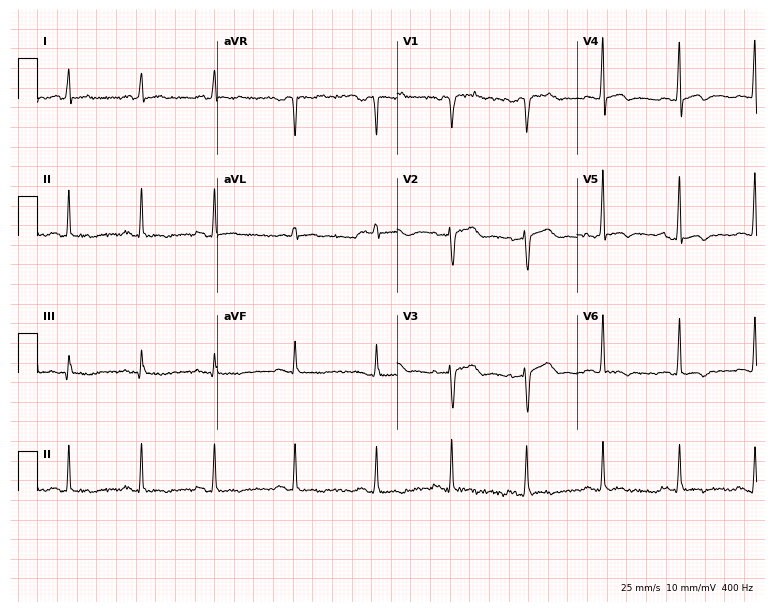
Resting 12-lead electrocardiogram. Patient: a 52-year-old man. None of these six findings is recorded: first-degree AV block, right bundle branch block, left bundle branch block, sinus bradycardia, atrial fibrillation, sinus tachycardia. Other findings, if any, are not listed.